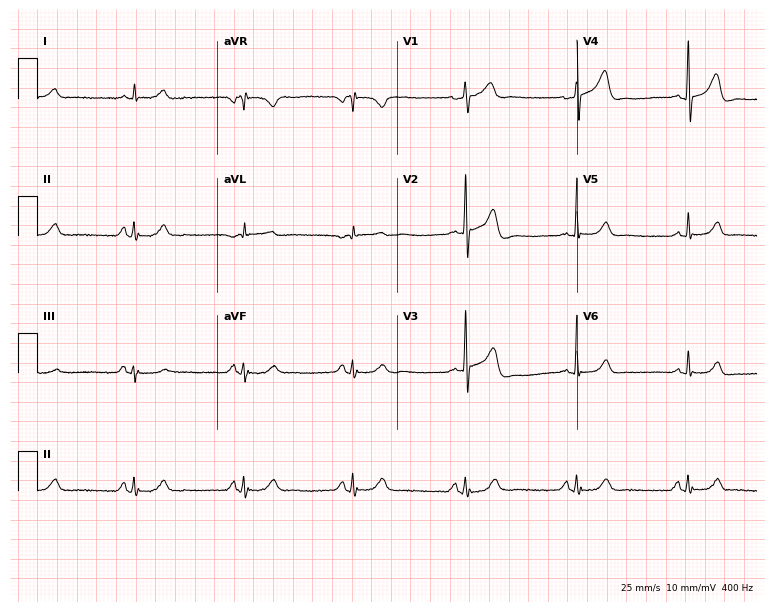
ECG — a man, 69 years old. Labelled as a normal ECG.